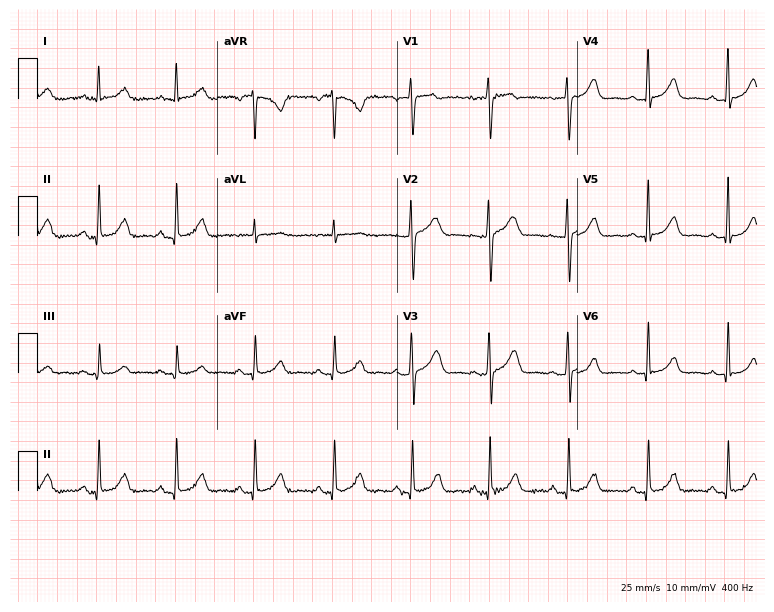
Resting 12-lead electrocardiogram. Patient: a 33-year-old female. Read as a normal ECG.